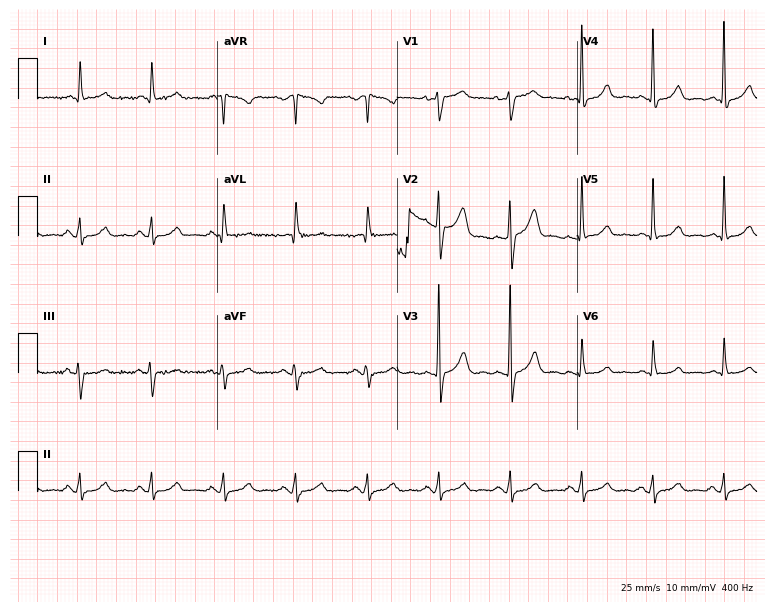
ECG — a 59-year-old man. Labelled as a normal ECG.